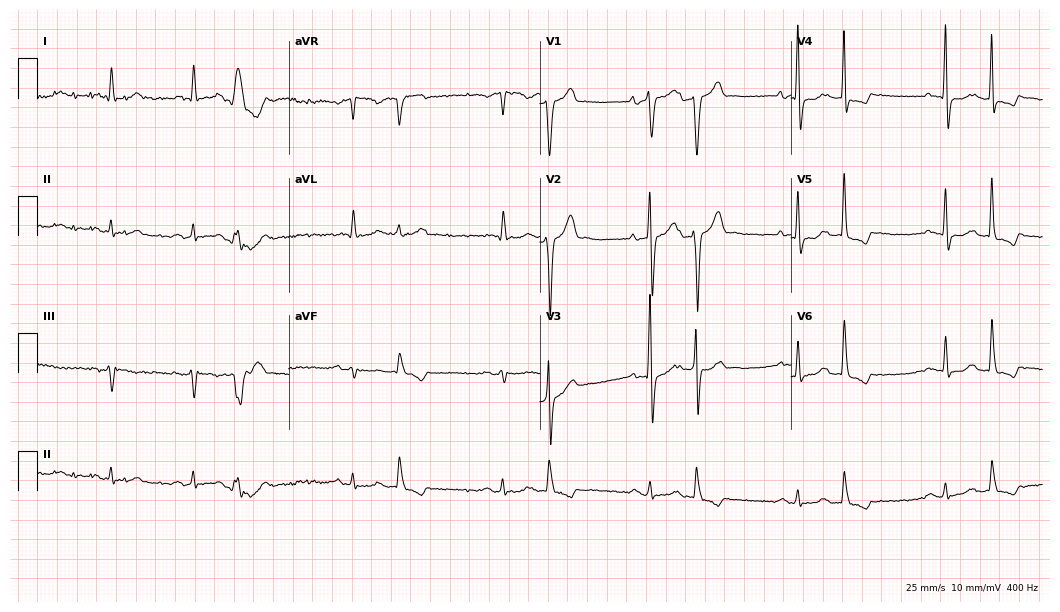
Resting 12-lead electrocardiogram. Patient: a male, 78 years old. None of these six findings is recorded: first-degree AV block, right bundle branch block, left bundle branch block, sinus bradycardia, atrial fibrillation, sinus tachycardia. Other findings, if any, are not listed.